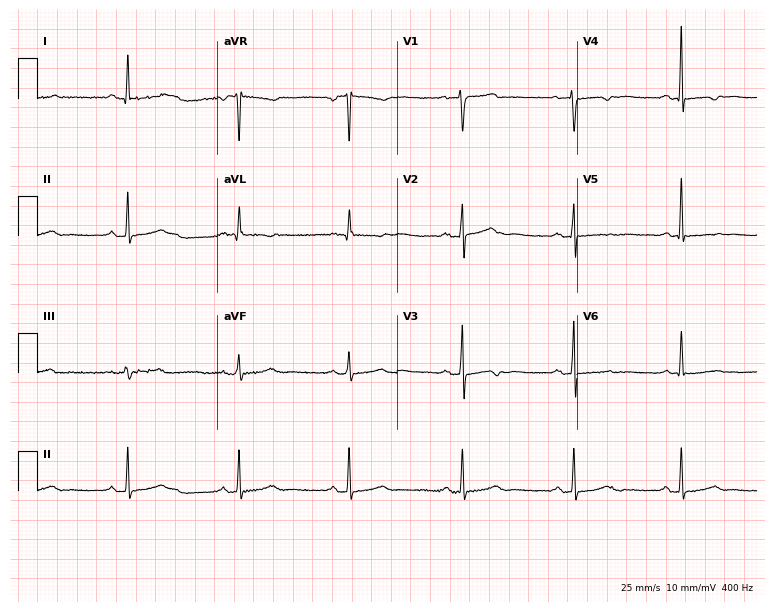
Standard 12-lead ECG recorded from a 58-year-old woman. None of these six findings is recorded: first-degree AV block, right bundle branch block (RBBB), left bundle branch block (LBBB), sinus bradycardia, atrial fibrillation (AF), sinus tachycardia.